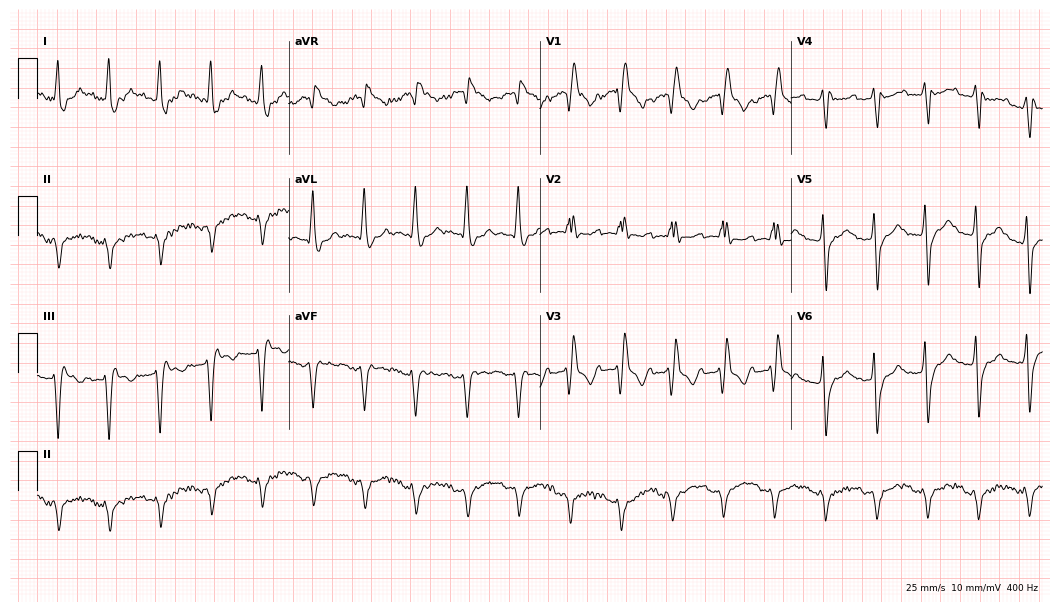
ECG — a 54-year-old male patient. Findings include right bundle branch block, sinus tachycardia (a sinus rate of 100 beats per minute or more).